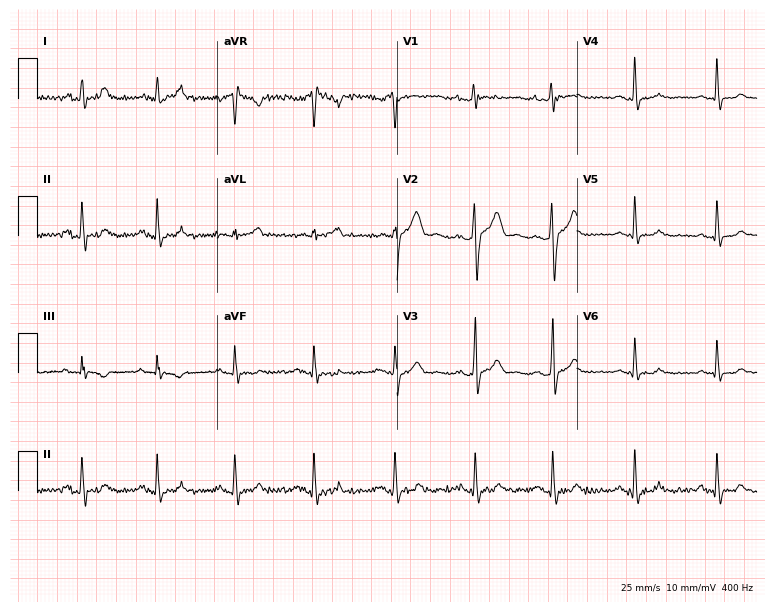
12-lead ECG from a 29-year-old male patient (7.3-second recording at 400 Hz). Recorded interpretation: within normal limits.